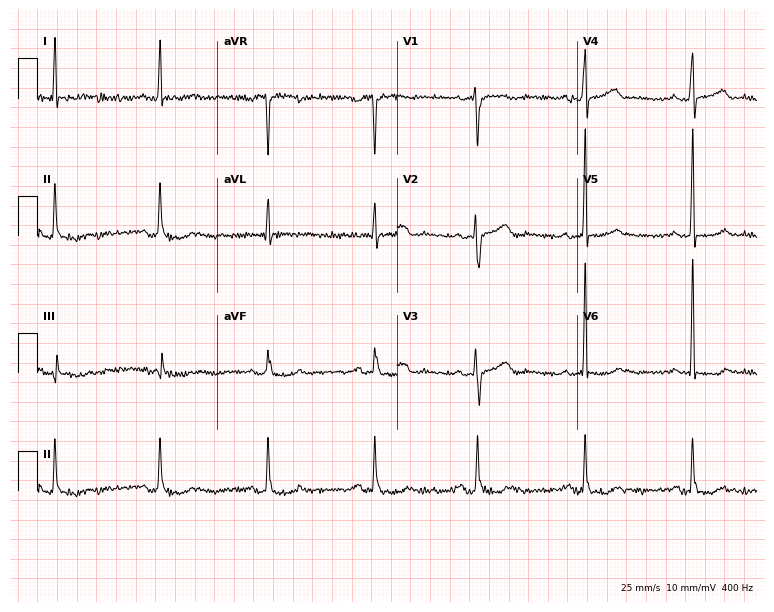
Standard 12-lead ECG recorded from a 51-year-old female patient. None of these six findings is recorded: first-degree AV block, right bundle branch block, left bundle branch block, sinus bradycardia, atrial fibrillation, sinus tachycardia. Other findings, if any, are not listed.